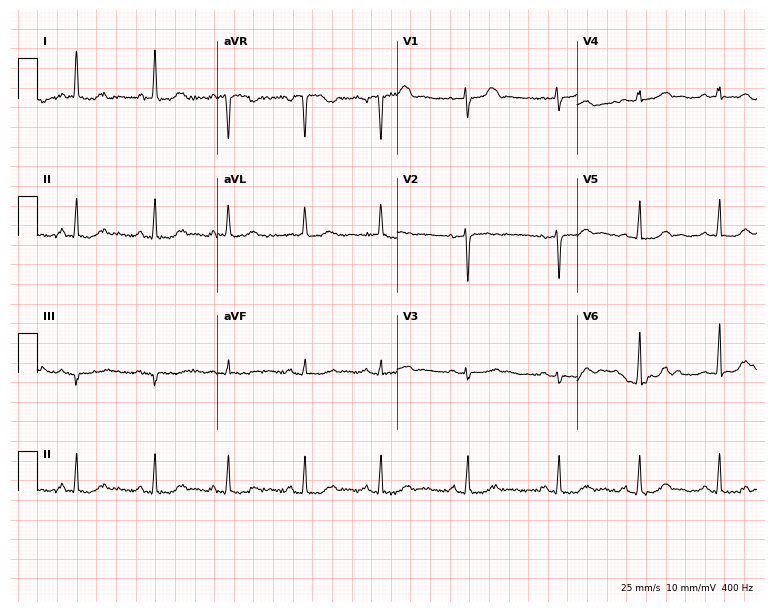
Standard 12-lead ECG recorded from an 83-year-old woman (7.3-second recording at 400 Hz). Read as a normal ECG.